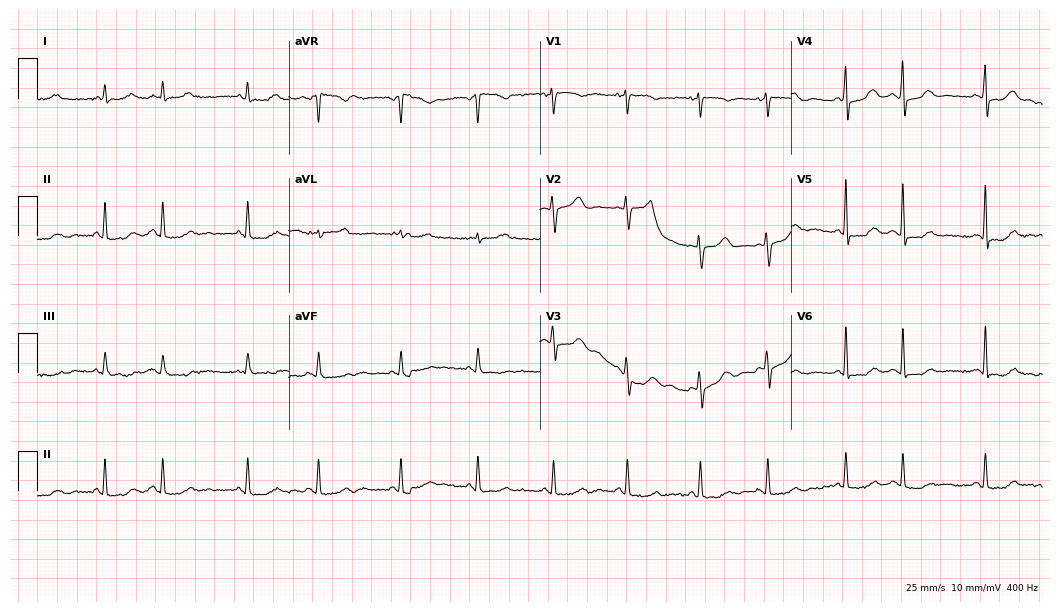
12-lead ECG from a 60-year-old female. Screened for six findings — first-degree AV block, right bundle branch block (RBBB), left bundle branch block (LBBB), sinus bradycardia, atrial fibrillation (AF), sinus tachycardia — none is recorded. Only these six findings were labelled.